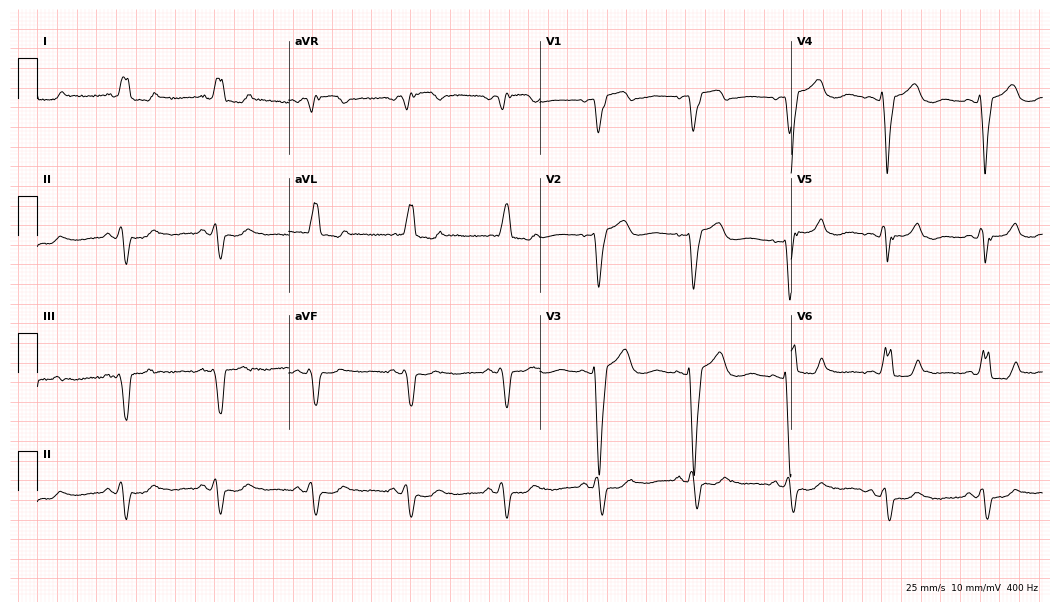
12-lead ECG from a female patient, 52 years old (10.2-second recording at 400 Hz). Shows left bundle branch block (LBBB).